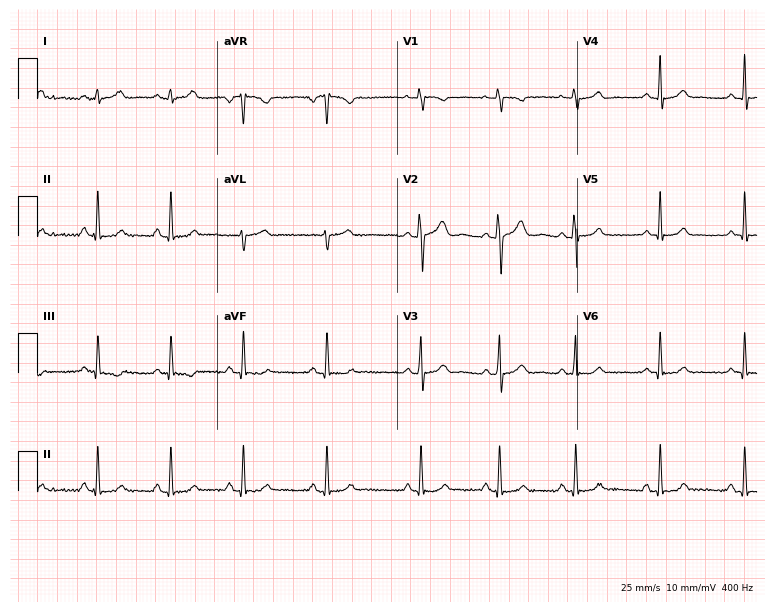
ECG (7.3-second recording at 400 Hz) — a 20-year-old female. Labelled as a normal ECG.